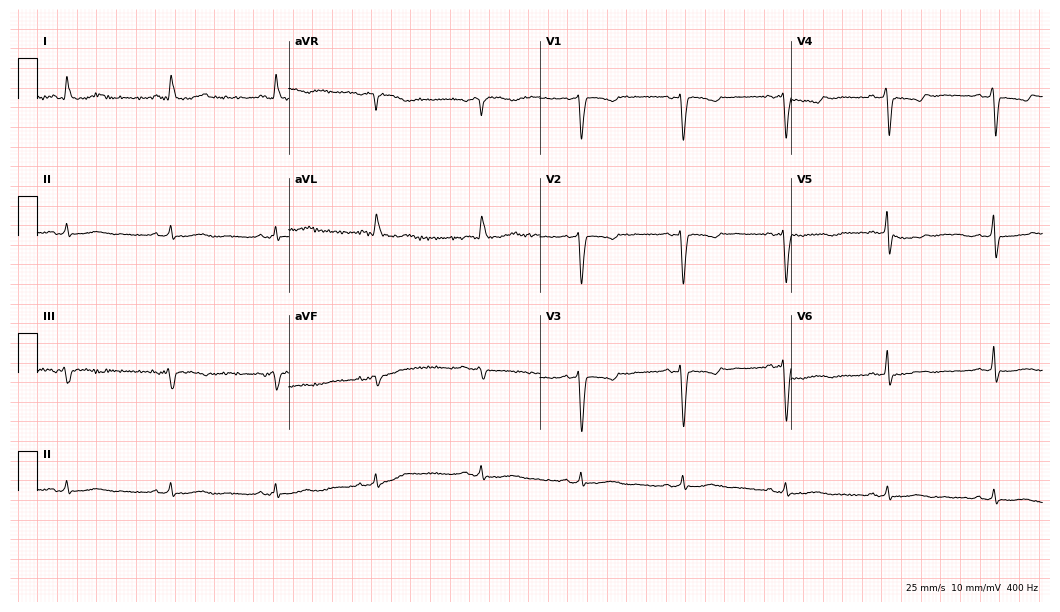
Resting 12-lead electrocardiogram (10.2-second recording at 400 Hz). Patient: a 62-year-old female. None of these six findings is recorded: first-degree AV block, right bundle branch block, left bundle branch block, sinus bradycardia, atrial fibrillation, sinus tachycardia.